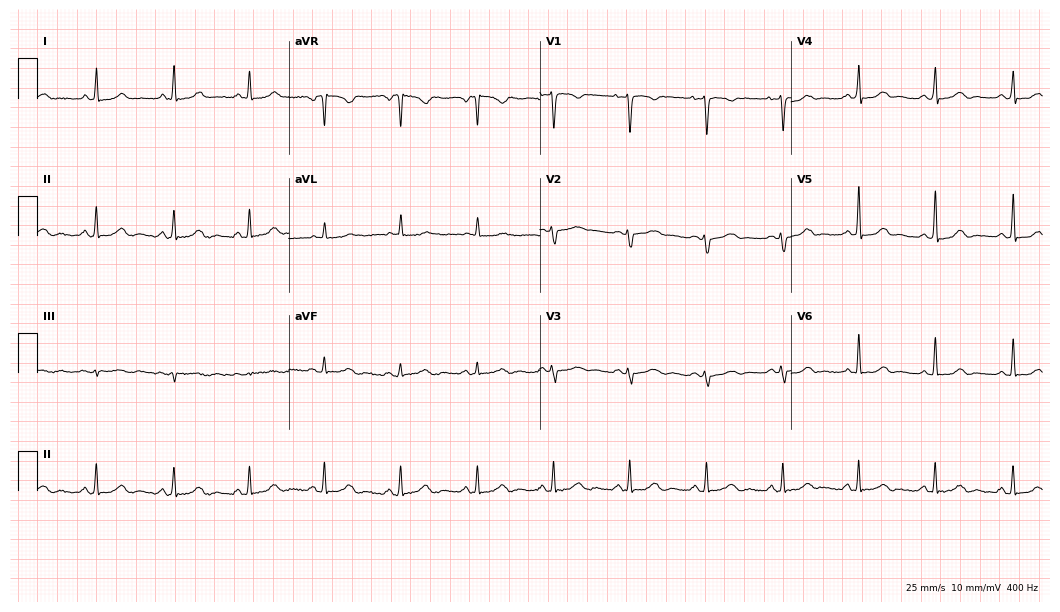
Standard 12-lead ECG recorded from a 47-year-old female. None of these six findings is recorded: first-degree AV block, right bundle branch block, left bundle branch block, sinus bradycardia, atrial fibrillation, sinus tachycardia. Only these six findings were labelled.